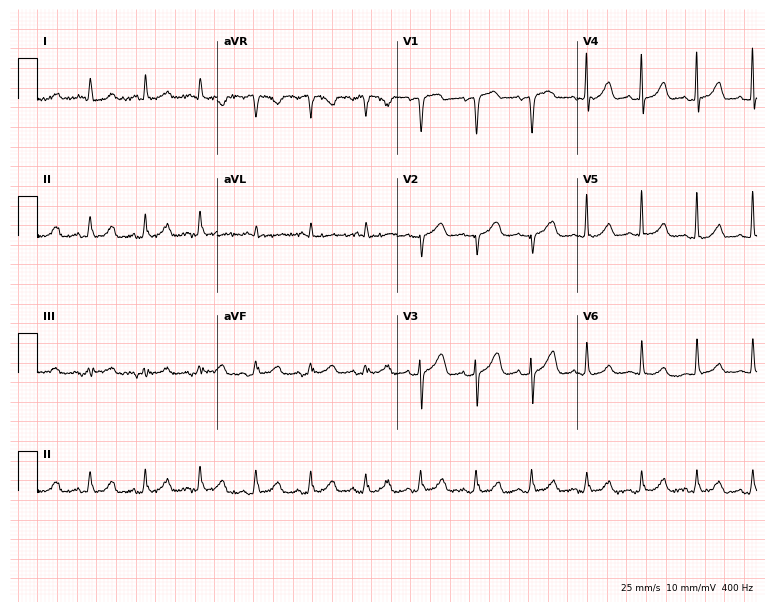
ECG (7.3-second recording at 400 Hz) — a female, 19 years old. Findings include sinus tachycardia (a sinus rate of 100 beats per minute or more).